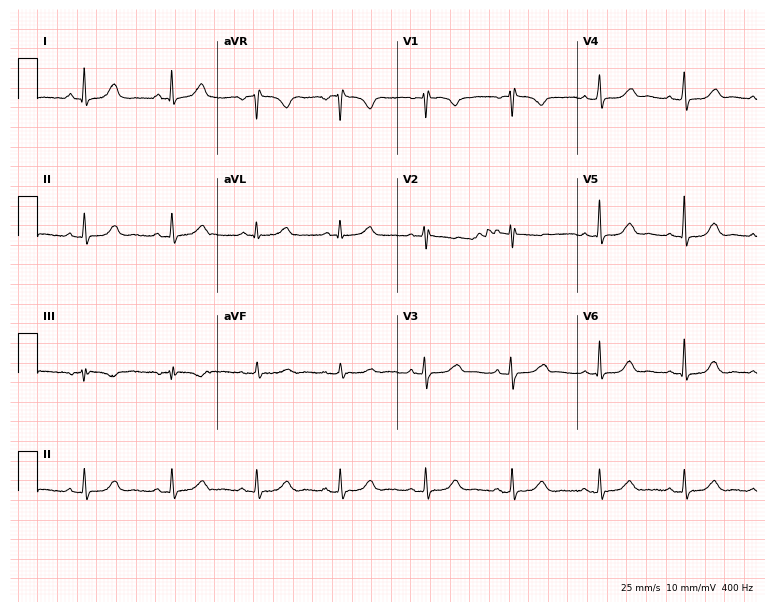
12-lead ECG from a woman, 49 years old (7.3-second recording at 400 Hz). Recorded interpretation: within normal limits.